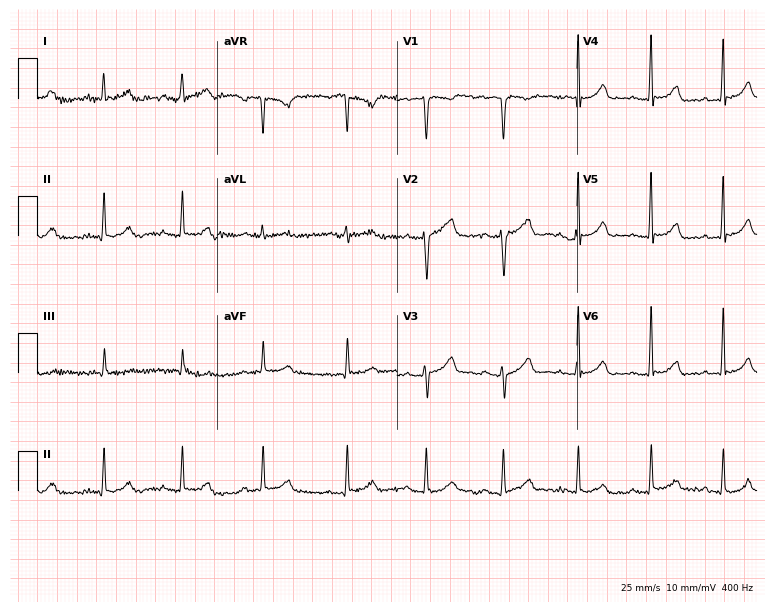
12-lead ECG from a woman, 29 years old. Recorded interpretation: within normal limits.